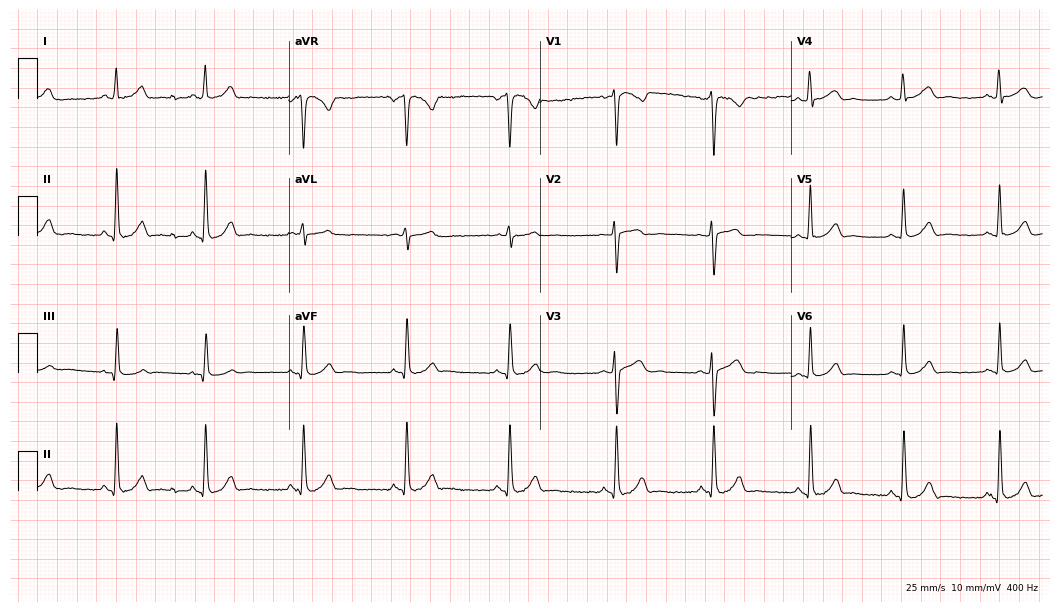
12-lead ECG (10.2-second recording at 400 Hz) from a 26-year-old female. Labelled as a normal ECG.